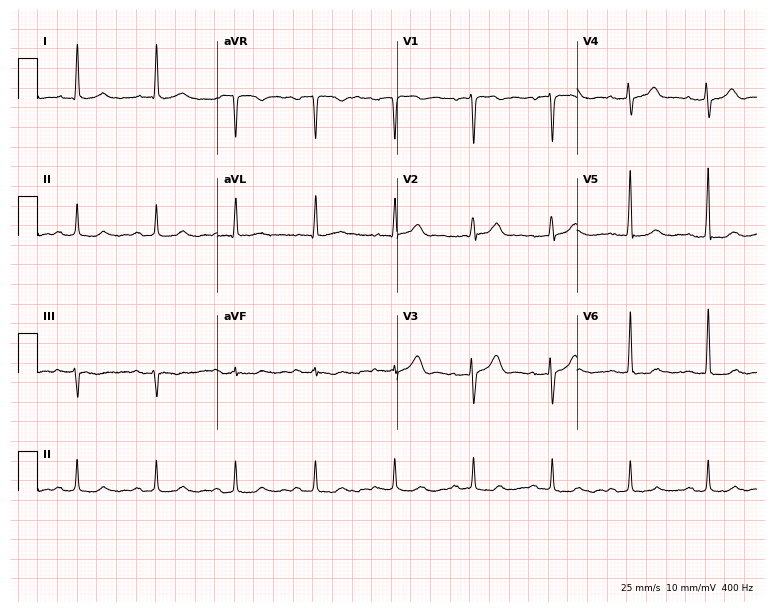
ECG (7.3-second recording at 400 Hz) — a woman, 76 years old. Labelled as a normal ECG.